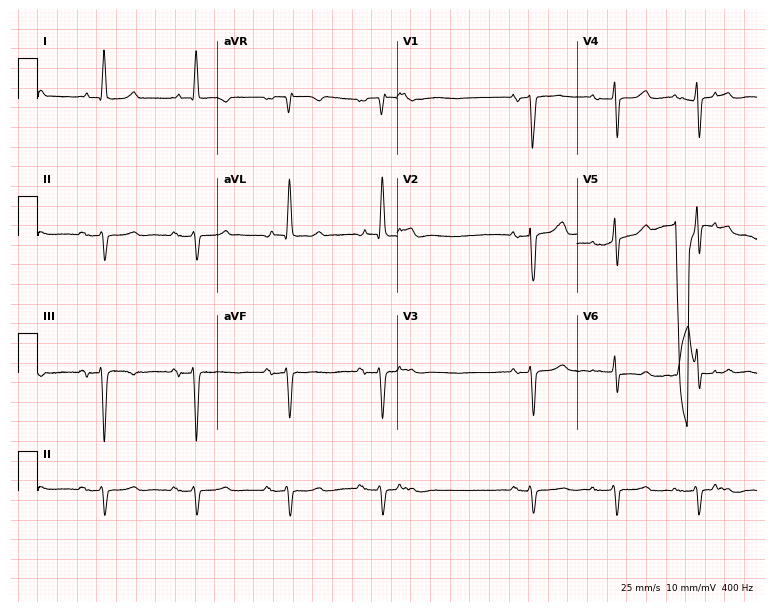
Standard 12-lead ECG recorded from an 83-year-old female patient. None of these six findings is recorded: first-degree AV block, right bundle branch block, left bundle branch block, sinus bradycardia, atrial fibrillation, sinus tachycardia.